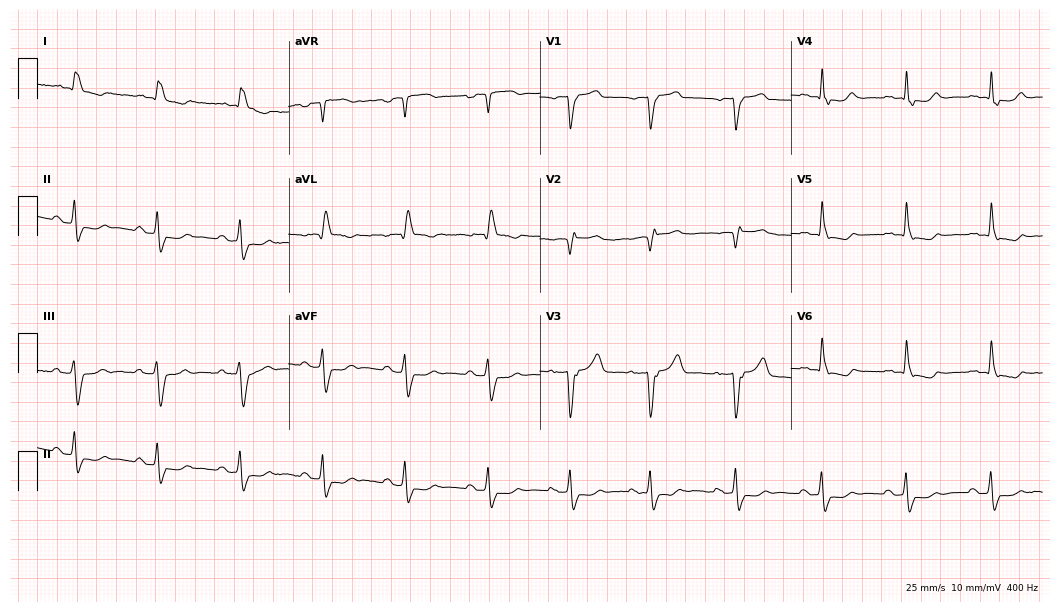
12-lead ECG from a female, 77 years old (10.2-second recording at 400 Hz). No first-degree AV block, right bundle branch block, left bundle branch block, sinus bradycardia, atrial fibrillation or sinus tachycardia recorded for this tracing.